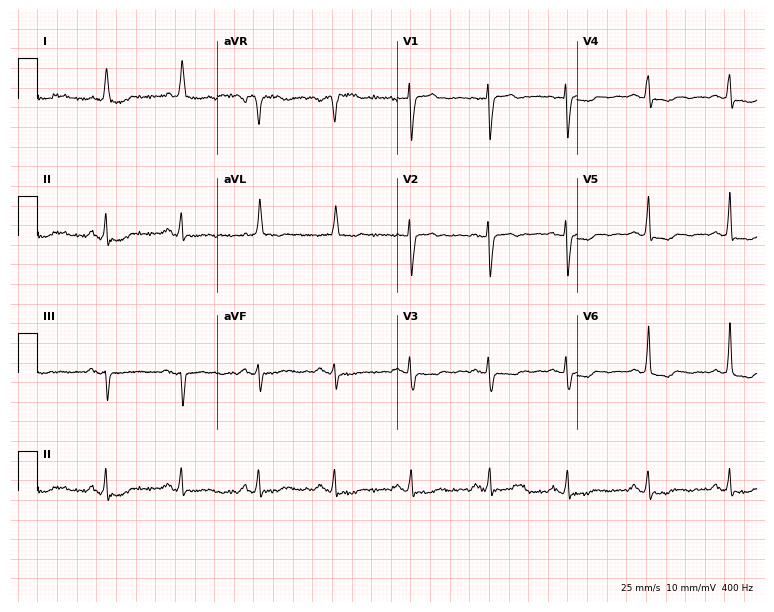
12-lead ECG from a female, 67 years old. Screened for six findings — first-degree AV block, right bundle branch block, left bundle branch block, sinus bradycardia, atrial fibrillation, sinus tachycardia — none is recorded.